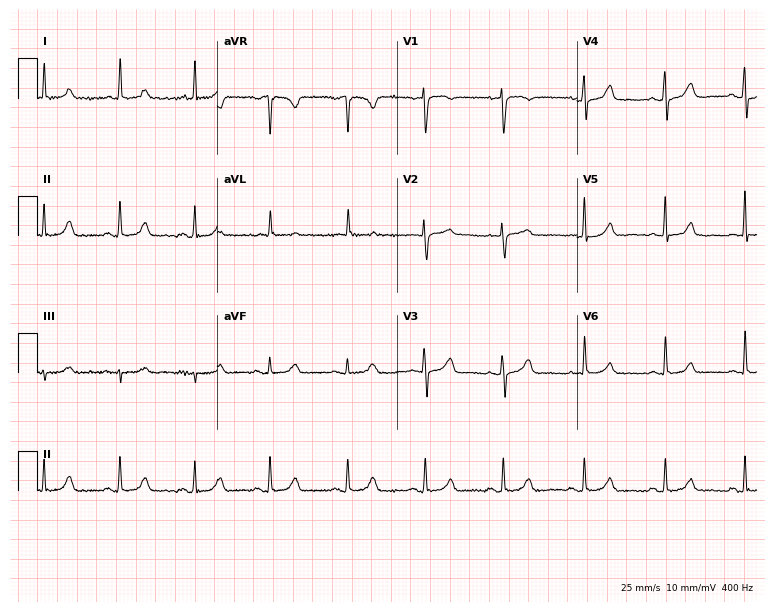
ECG (7.3-second recording at 400 Hz) — a 58-year-old female patient. Labelled as a normal ECG.